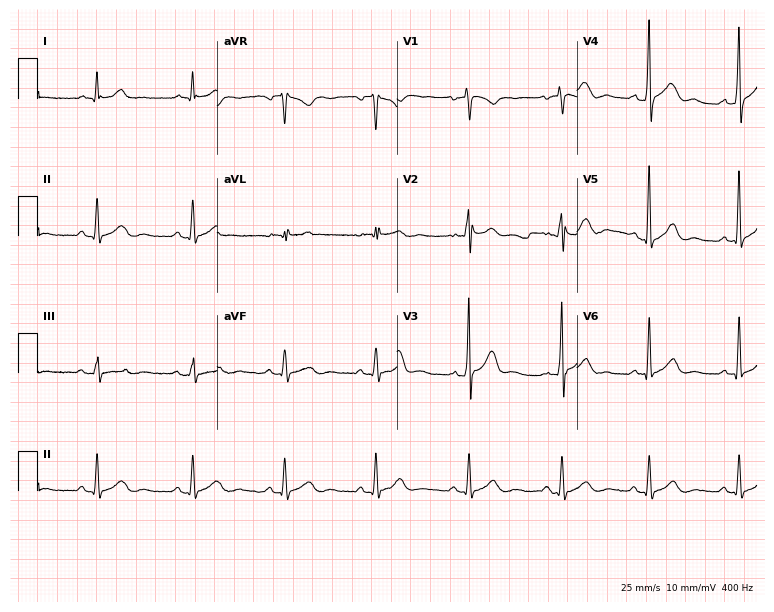
Electrocardiogram, a 41-year-old male. Overall reading on record: normal ECG.